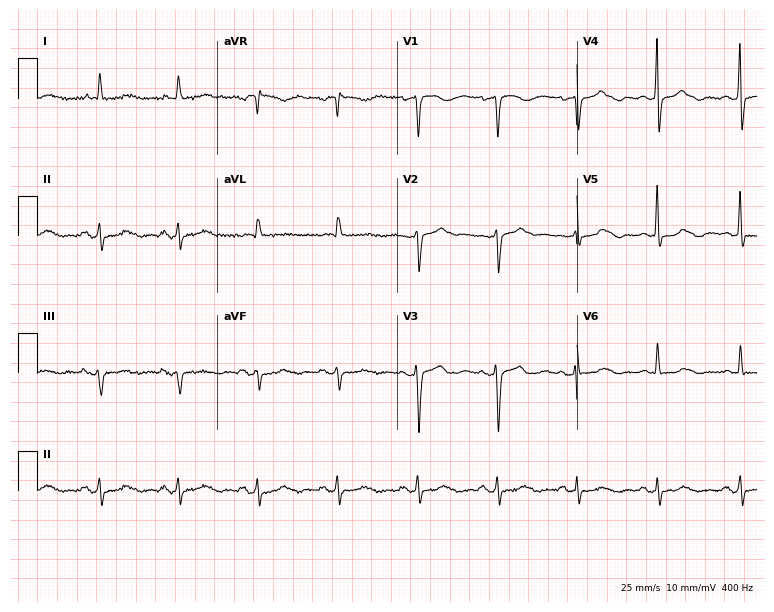
Electrocardiogram (7.3-second recording at 400 Hz), a woman, 79 years old. Of the six screened findings (first-degree AV block, right bundle branch block, left bundle branch block, sinus bradycardia, atrial fibrillation, sinus tachycardia), none is recorded.